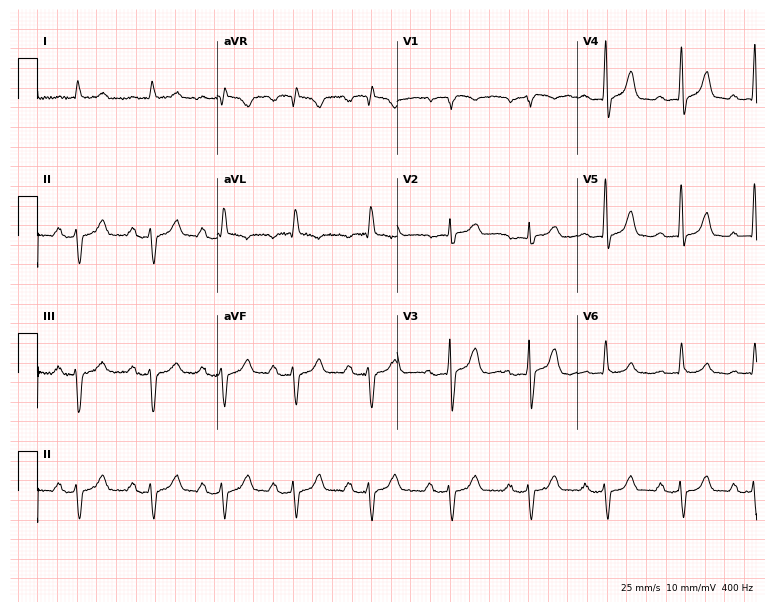
Resting 12-lead electrocardiogram (7.3-second recording at 400 Hz). Patient: a male, 73 years old. The tracing shows first-degree AV block.